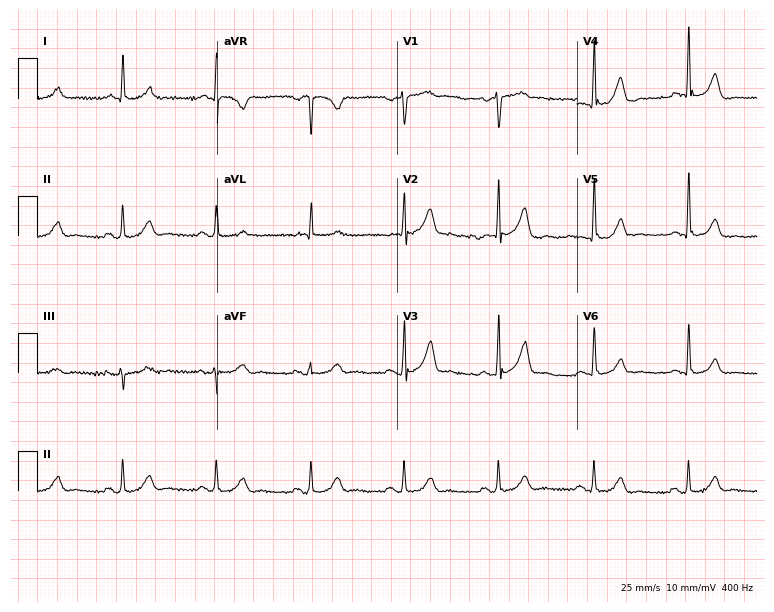
Electrocardiogram (7.3-second recording at 400 Hz), a 62-year-old male patient. Overall reading on record: normal ECG.